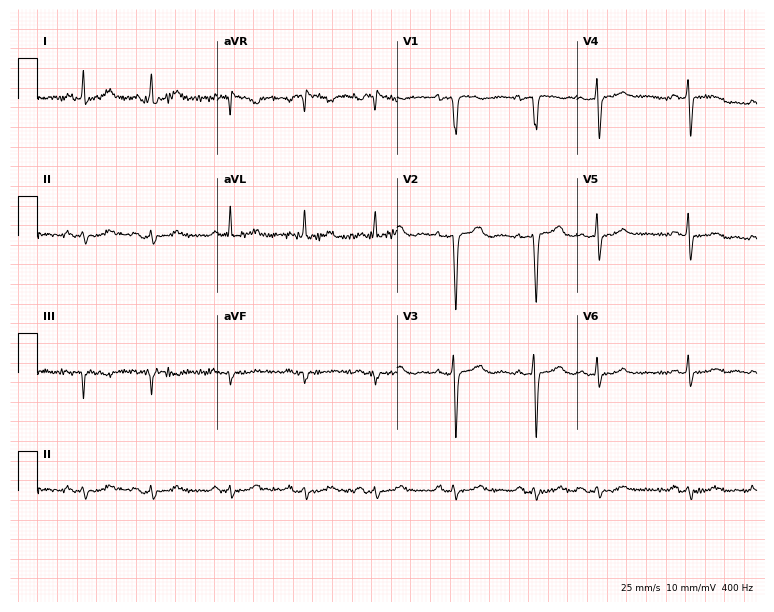
ECG — a 72-year-old female. Screened for six findings — first-degree AV block, right bundle branch block, left bundle branch block, sinus bradycardia, atrial fibrillation, sinus tachycardia — none is recorded.